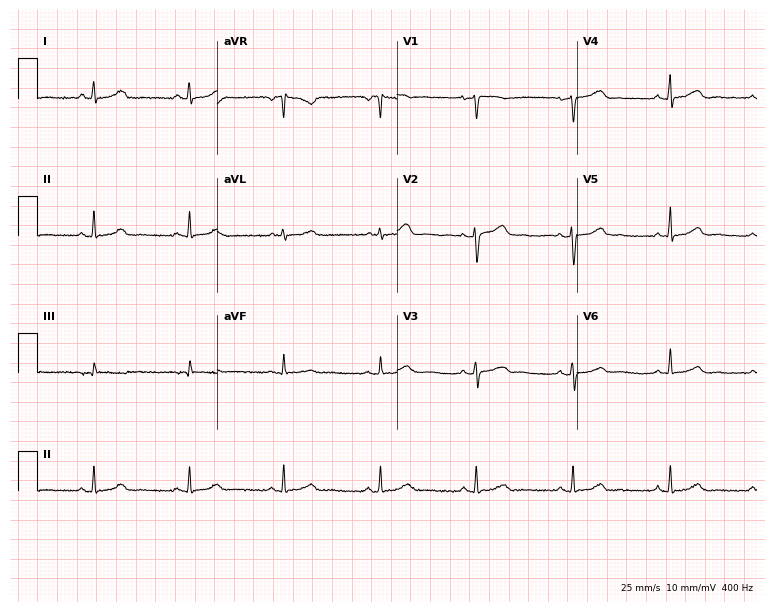
Resting 12-lead electrocardiogram (7.3-second recording at 400 Hz). Patient: a female, 48 years old. Read as a normal ECG.